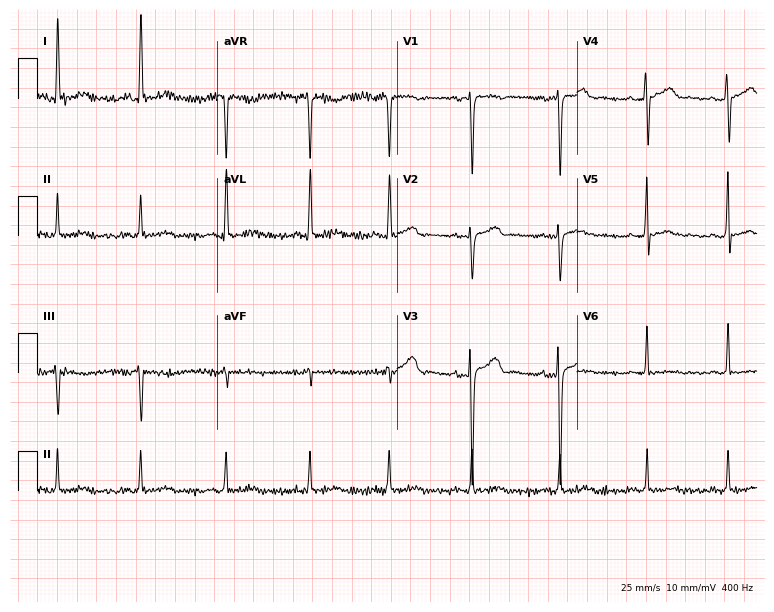
ECG (7.3-second recording at 400 Hz) — a 45-year-old woman. Screened for six findings — first-degree AV block, right bundle branch block (RBBB), left bundle branch block (LBBB), sinus bradycardia, atrial fibrillation (AF), sinus tachycardia — none is recorded. Only these six findings were labelled.